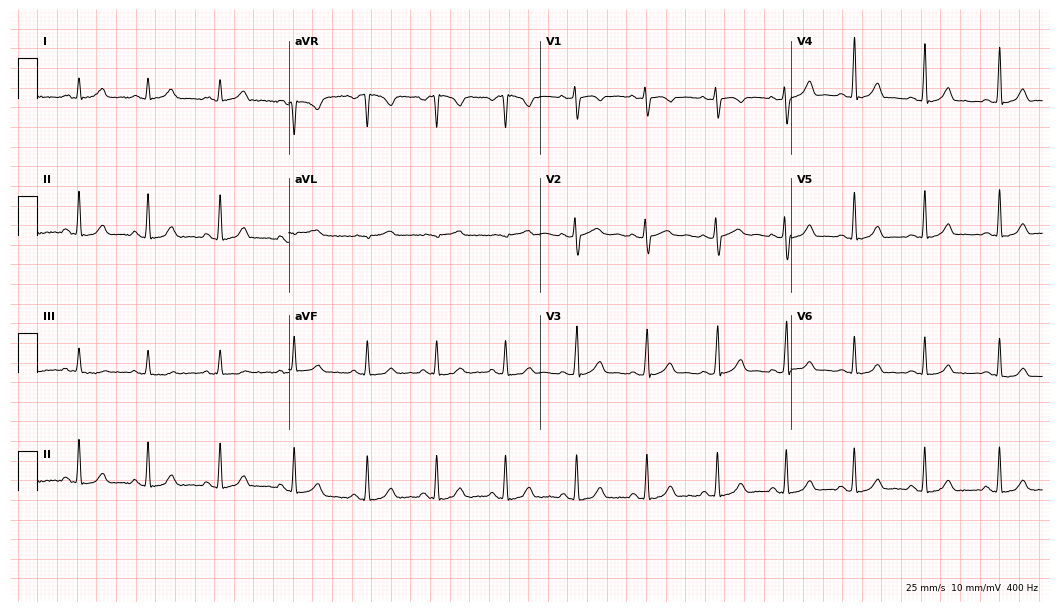
Standard 12-lead ECG recorded from a 23-year-old woman. Read as a normal ECG.